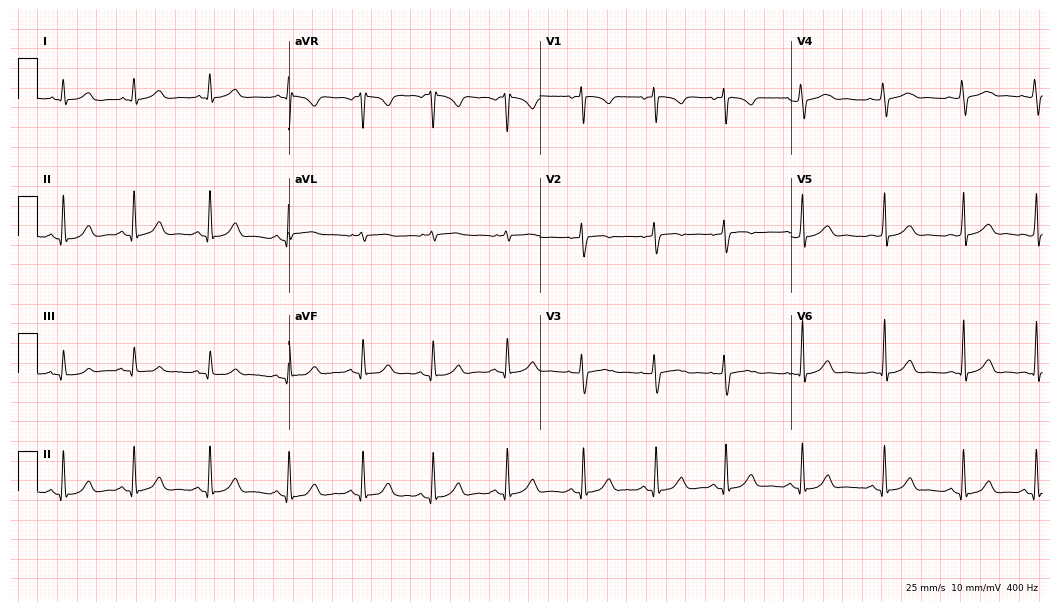
12-lead ECG from a female patient, 29 years old (10.2-second recording at 400 Hz). Recorded interpretation: within normal limits.